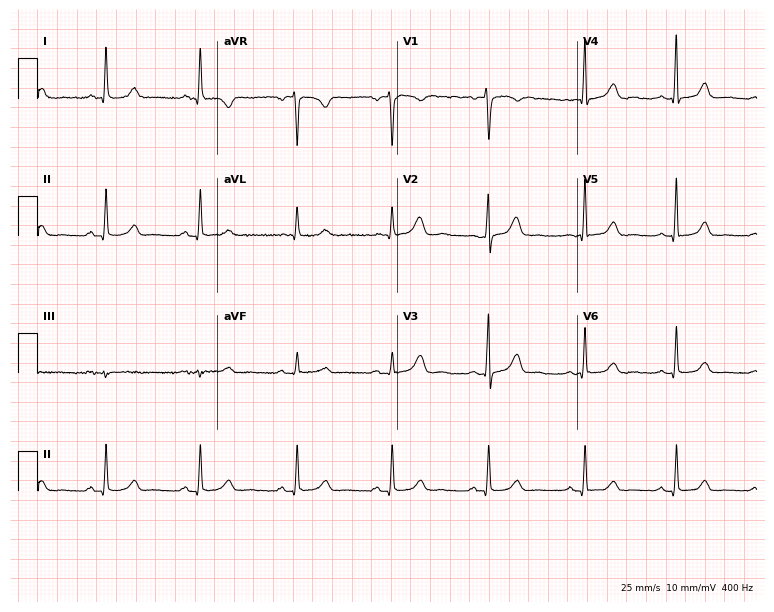
ECG (7.3-second recording at 400 Hz) — a 47-year-old female patient. Labelled as a normal ECG.